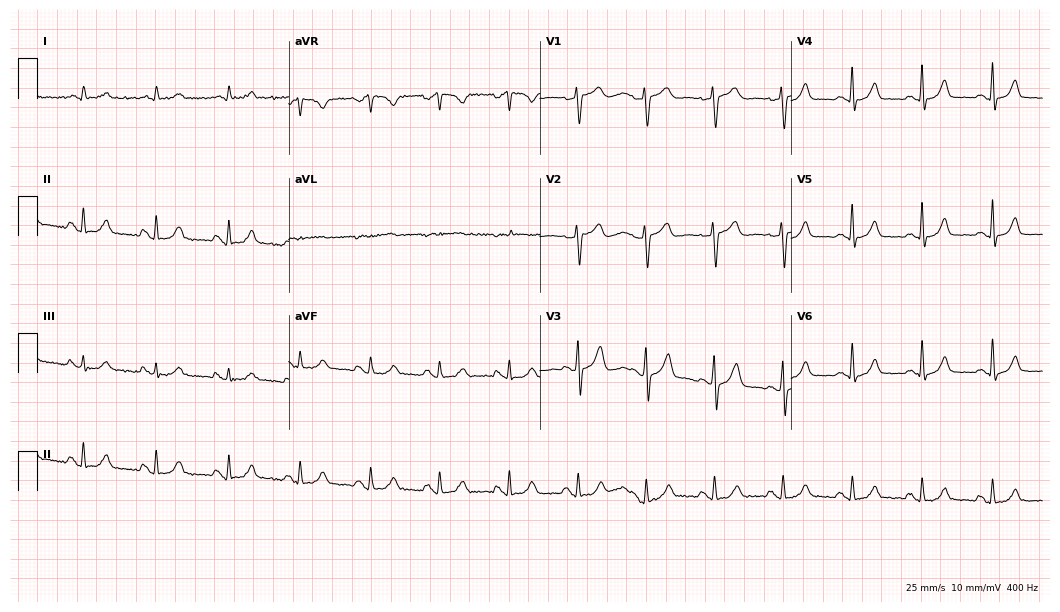
12-lead ECG from a 67-year-old man (10.2-second recording at 400 Hz). Recorded interpretation: within normal limits.